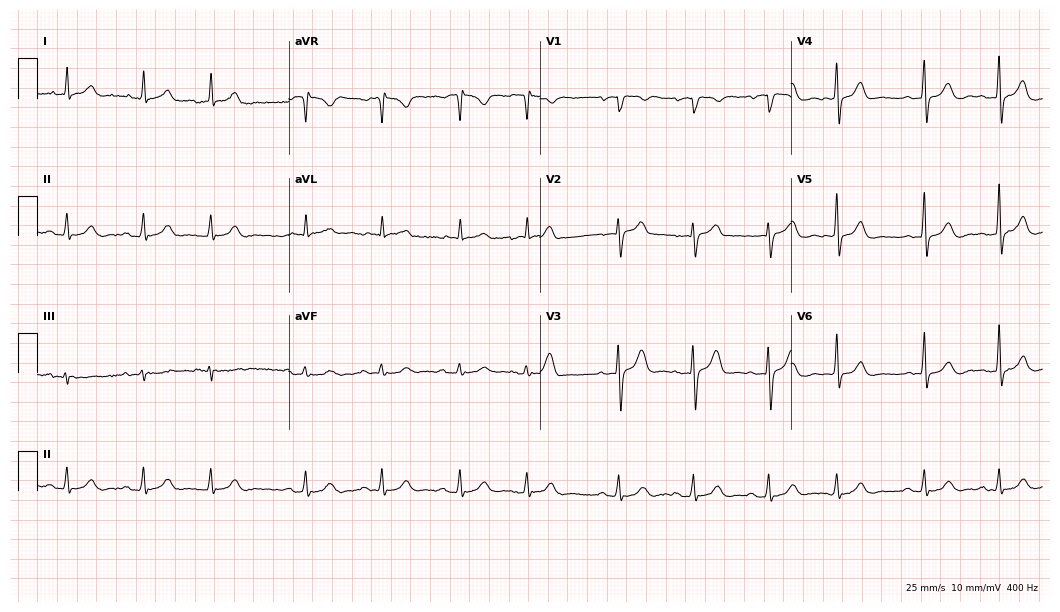
12-lead ECG from a 79-year-old man. Screened for six findings — first-degree AV block, right bundle branch block (RBBB), left bundle branch block (LBBB), sinus bradycardia, atrial fibrillation (AF), sinus tachycardia — none is recorded.